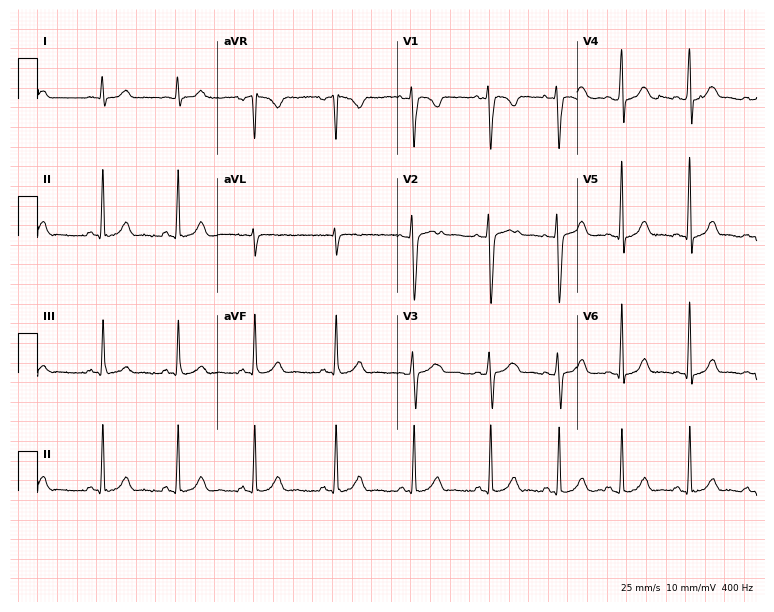
Resting 12-lead electrocardiogram (7.3-second recording at 400 Hz). Patient: a 25-year-old female. None of these six findings is recorded: first-degree AV block, right bundle branch block, left bundle branch block, sinus bradycardia, atrial fibrillation, sinus tachycardia.